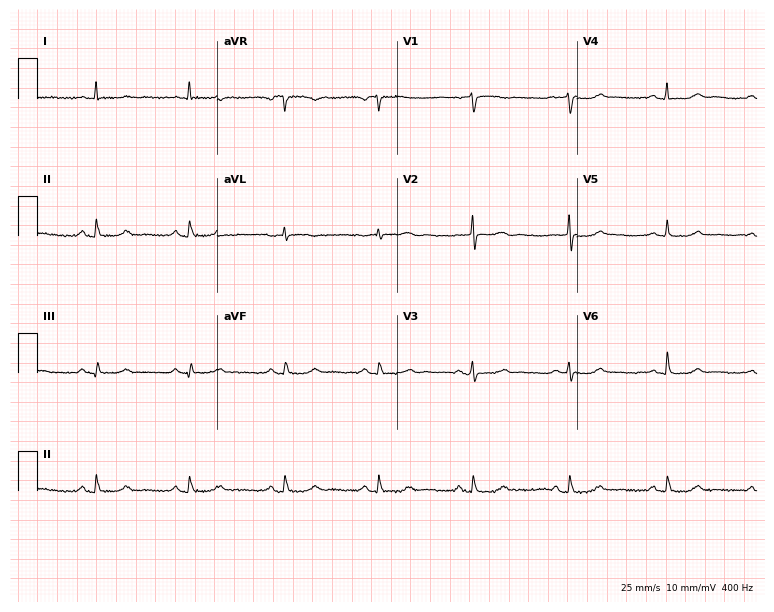
12-lead ECG from a 67-year-old woman (7.3-second recording at 400 Hz). No first-degree AV block, right bundle branch block (RBBB), left bundle branch block (LBBB), sinus bradycardia, atrial fibrillation (AF) or sinus tachycardia recorded for this tracing. Only these six findings were labelled.